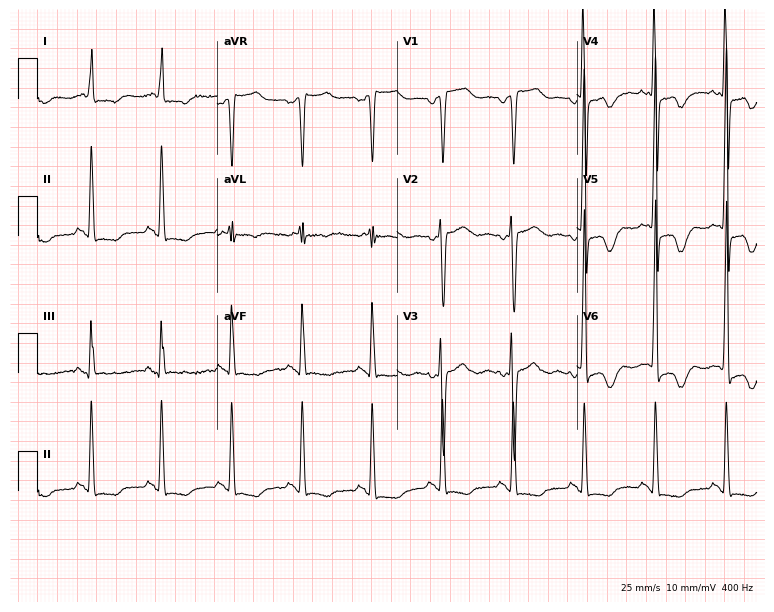
Standard 12-lead ECG recorded from a 73-year-old female patient (7.3-second recording at 400 Hz). None of these six findings is recorded: first-degree AV block, right bundle branch block, left bundle branch block, sinus bradycardia, atrial fibrillation, sinus tachycardia. Other findings, if any, are not listed.